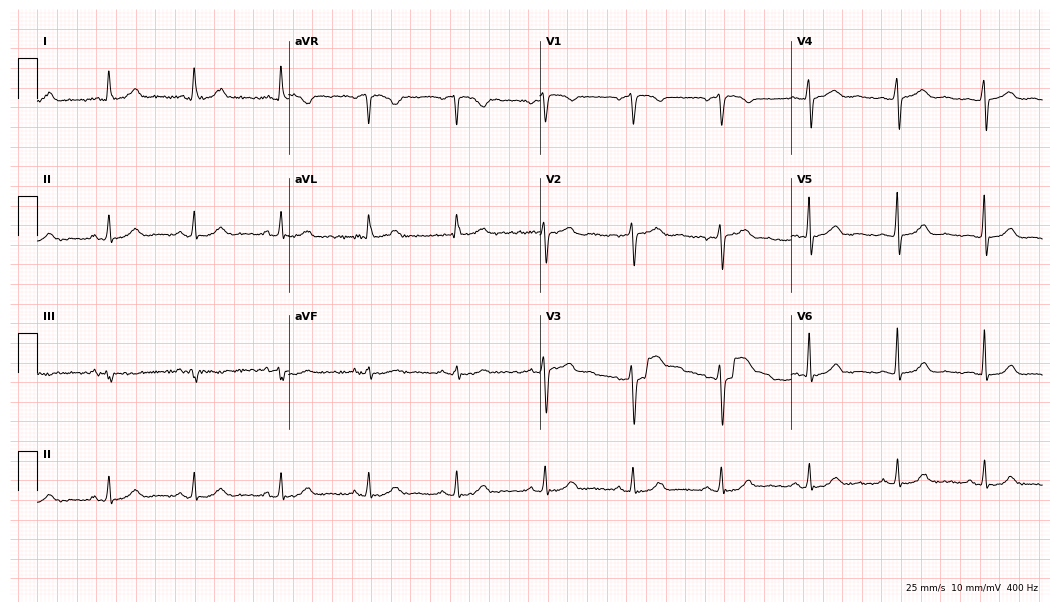
12-lead ECG from a 54-year-old woman. Recorded interpretation: within normal limits.